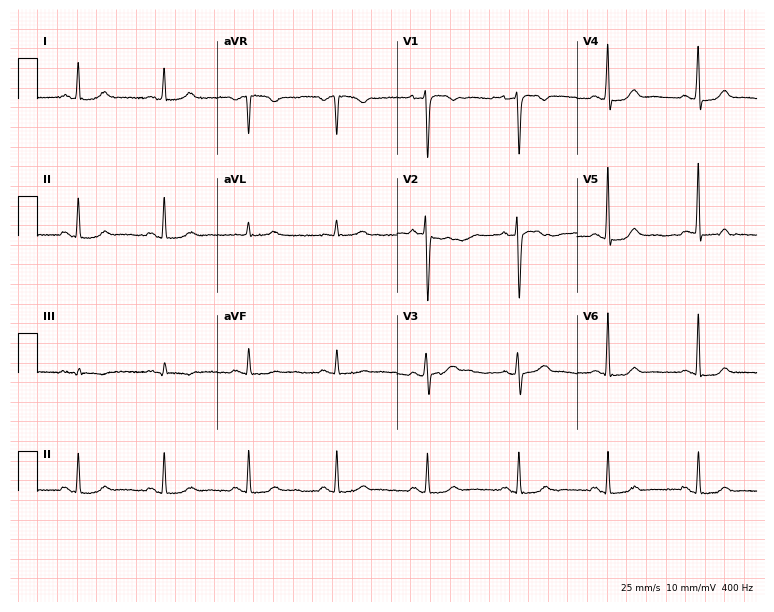
ECG — a female patient, 45 years old. Labelled as a normal ECG.